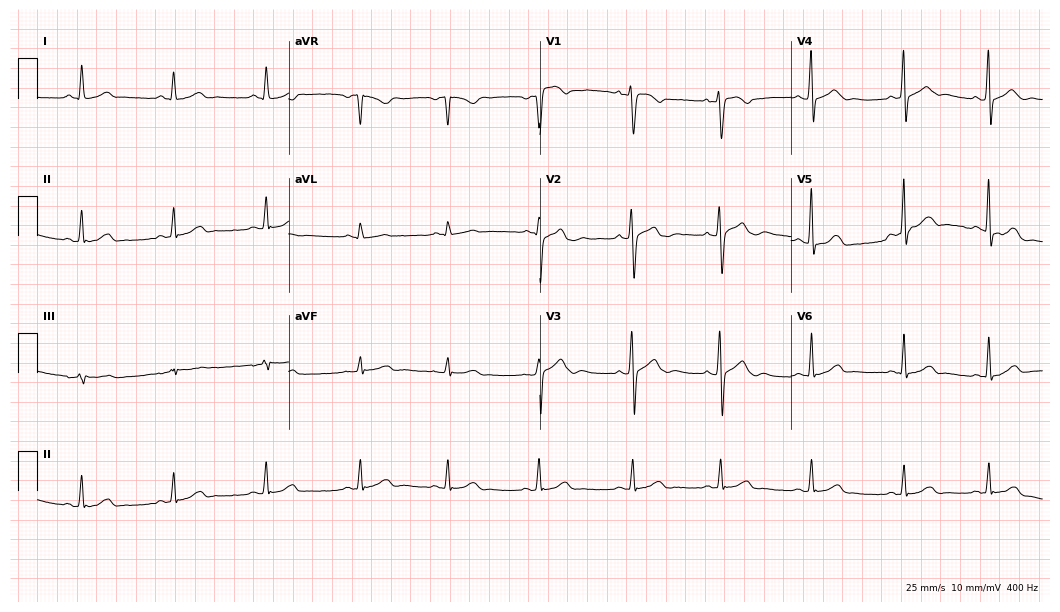
12-lead ECG from a 33-year-old female patient. Recorded interpretation: within normal limits.